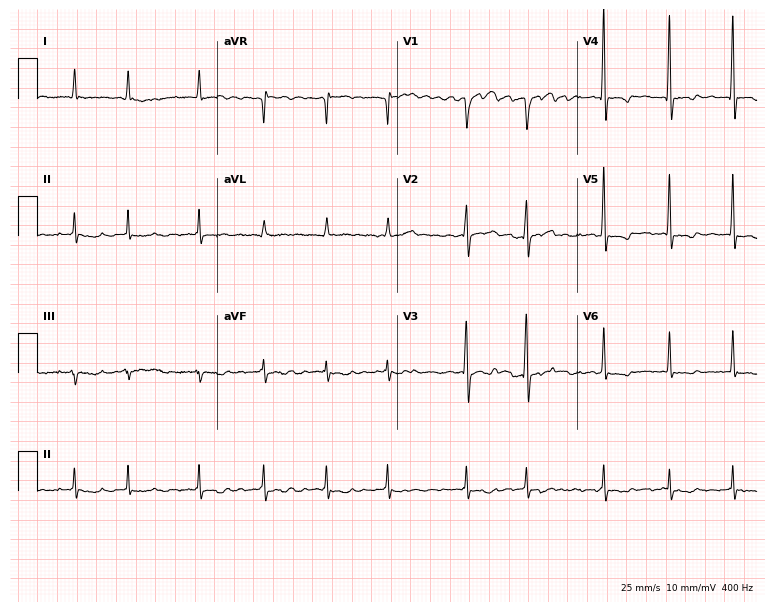
Resting 12-lead electrocardiogram. Patient: a male, 75 years old. The tracing shows atrial fibrillation.